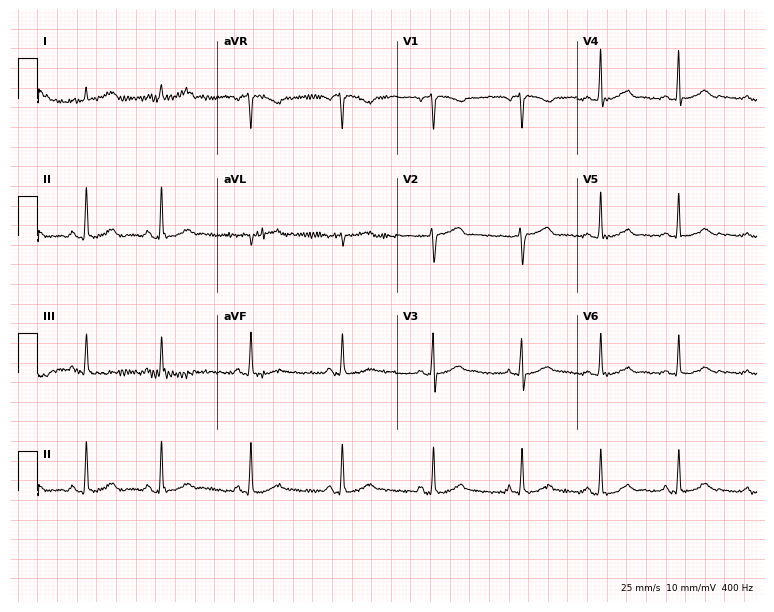
ECG — a female patient, 54 years old. Labelled as a normal ECG.